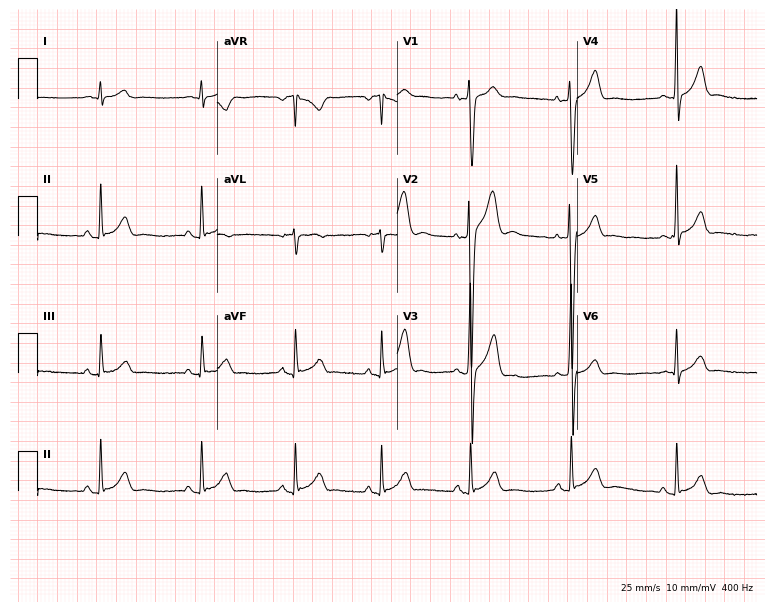
12-lead ECG from a man, 22 years old (7.3-second recording at 400 Hz). No first-degree AV block, right bundle branch block (RBBB), left bundle branch block (LBBB), sinus bradycardia, atrial fibrillation (AF) or sinus tachycardia recorded for this tracing. Findings outside these six are not listed.